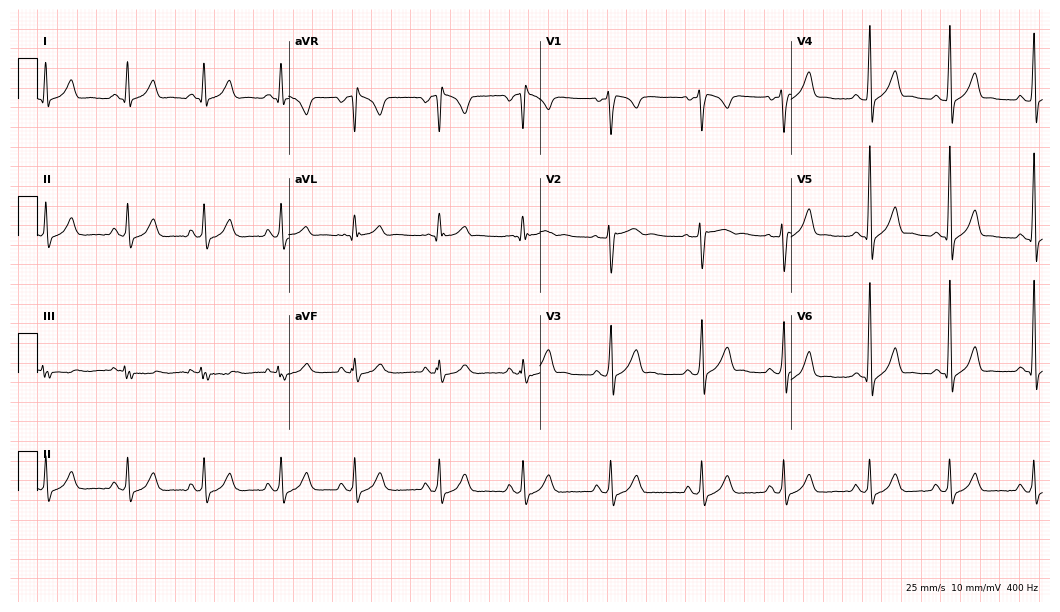
Electrocardiogram, a 20-year-old man. Of the six screened findings (first-degree AV block, right bundle branch block, left bundle branch block, sinus bradycardia, atrial fibrillation, sinus tachycardia), none is recorded. Findings outside these six are not listed.